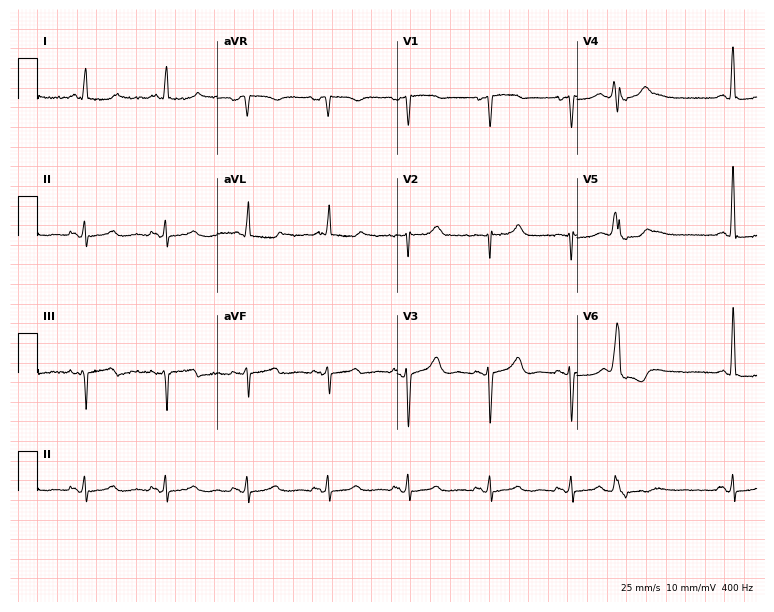
ECG — a female patient, 82 years old. Screened for six findings — first-degree AV block, right bundle branch block (RBBB), left bundle branch block (LBBB), sinus bradycardia, atrial fibrillation (AF), sinus tachycardia — none is recorded. Only these six findings were labelled.